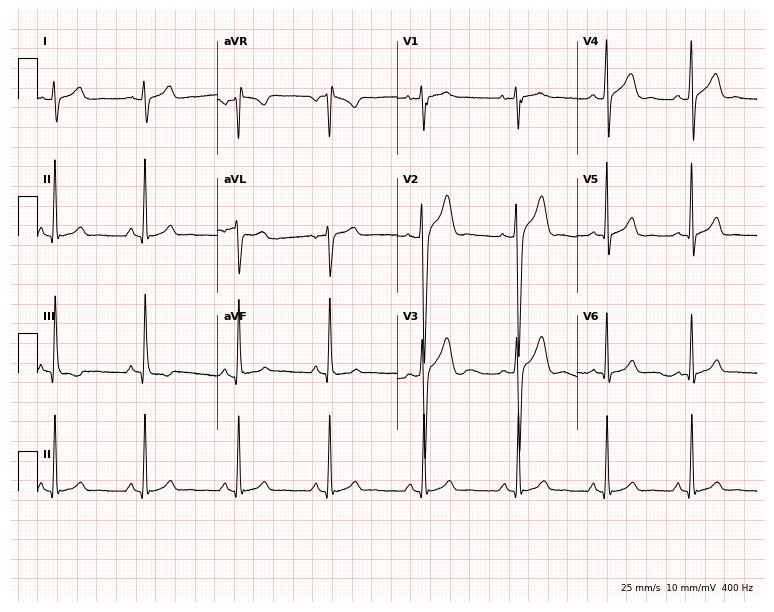
ECG (7.3-second recording at 400 Hz) — a 24-year-old man. Screened for six findings — first-degree AV block, right bundle branch block (RBBB), left bundle branch block (LBBB), sinus bradycardia, atrial fibrillation (AF), sinus tachycardia — none is recorded. Only these six findings were labelled.